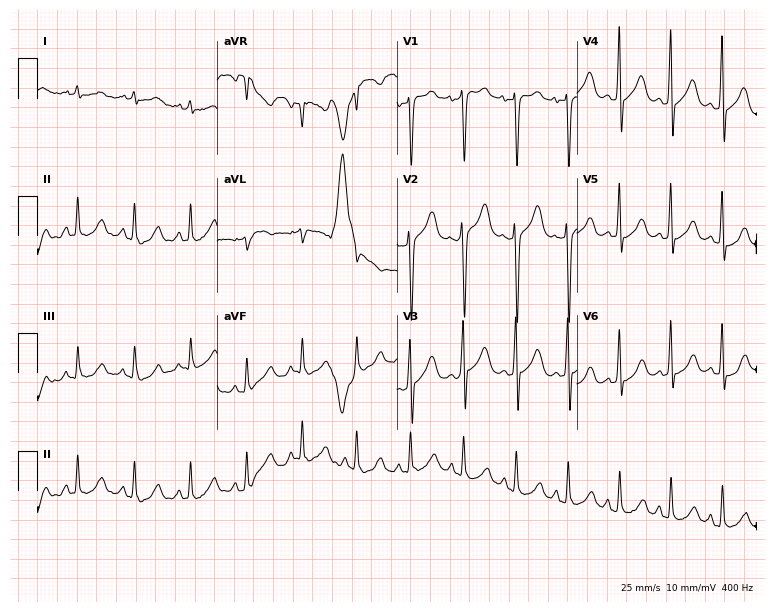
12-lead ECG from a 31-year-old male (7.3-second recording at 400 Hz). Shows sinus tachycardia (a sinus rate of 100 beats per minute or more).